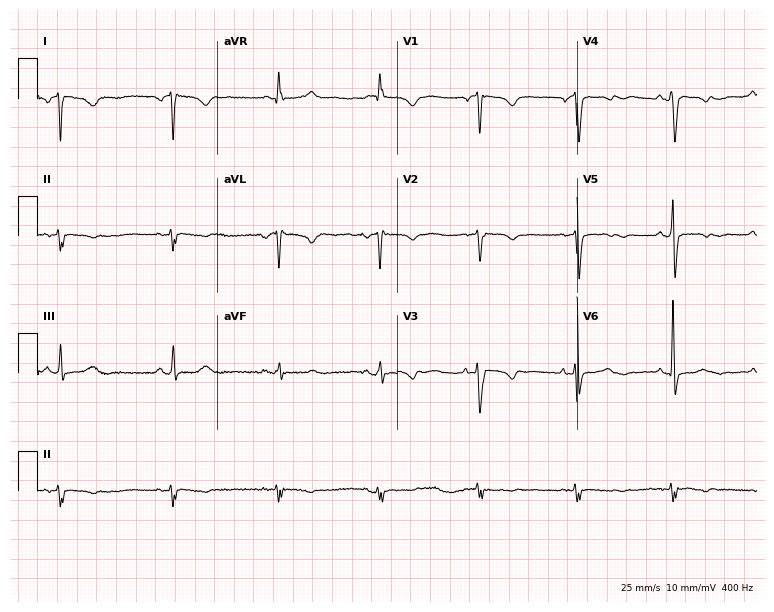
ECG — a female patient, 65 years old. Screened for six findings — first-degree AV block, right bundle branch block, left bundle branch block, sinus bradycardia, atrial fibrillation, sinus tachycardia — none is recorded.